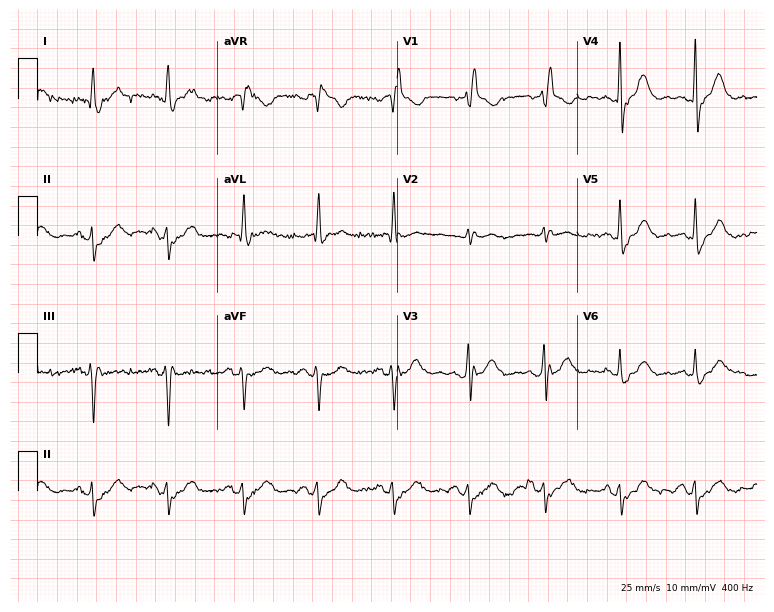
Electrocardiogram (7.3-second recording at 400 Hz), an 80-year-old man. Interpretation includes right bundle branch block (RBBB).